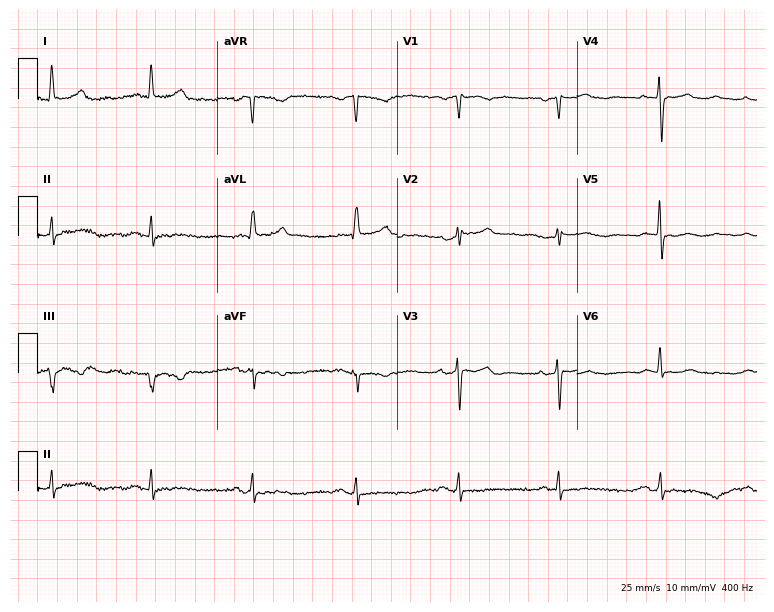
12-lead ECG (7.3-second recording at 400 Hz) from a woman, 59 years old. Labelled as a normal ECG.